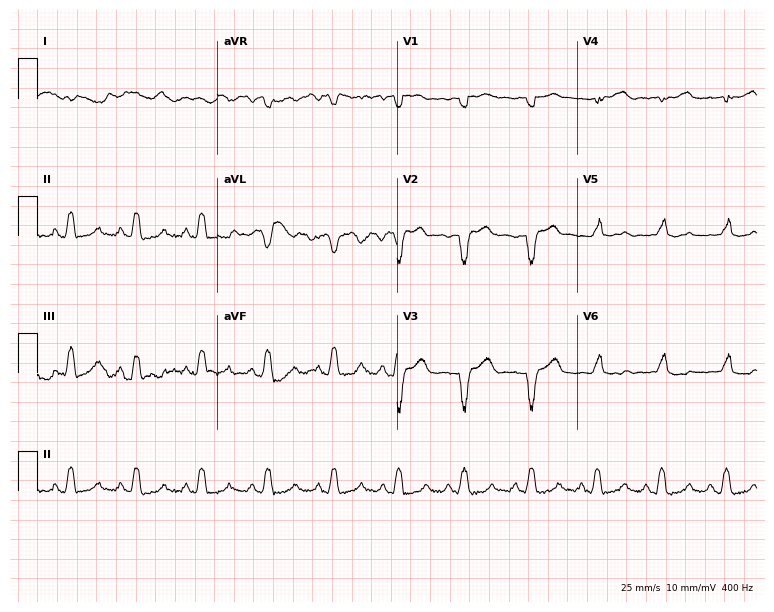
ECG — a female patient, 59 years old. Findings include left bundle branch block.